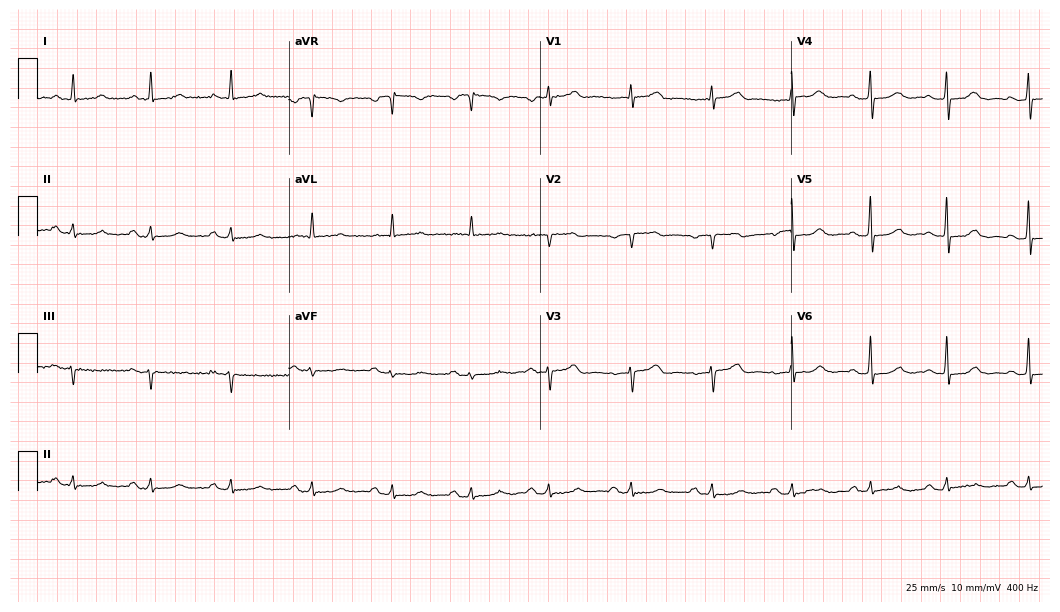
12-lead ECG (10.2-second recording at 400 Hz) from a 59-year-old female. Screened for six findings — first-degree AV block, right bundle branch block, left bundle branch block, sinus bradycardia, atrial fibrillation, sinus tachycardia — none is recorded. Findings outside these six are not listed.